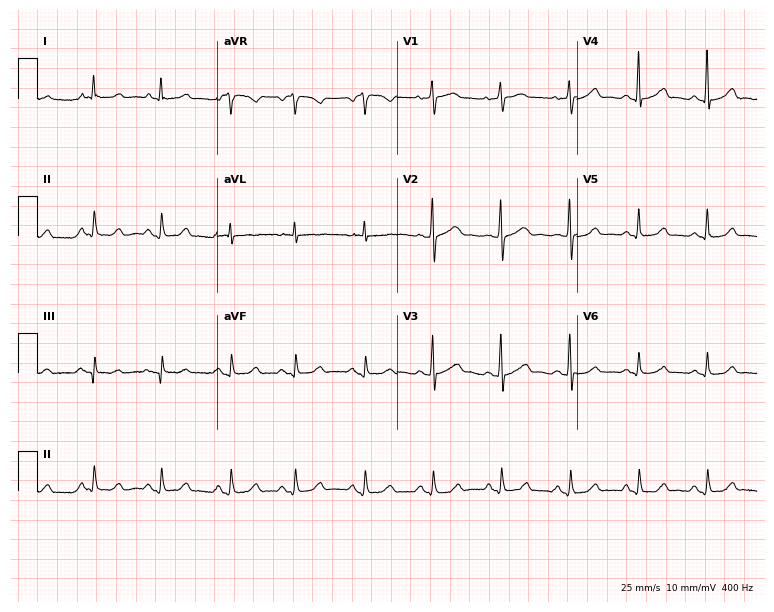
12-lead ECG from a female patient, 61 years old (7.3-second recording at 400 Hz). Recorded interpretation: within normal limits.